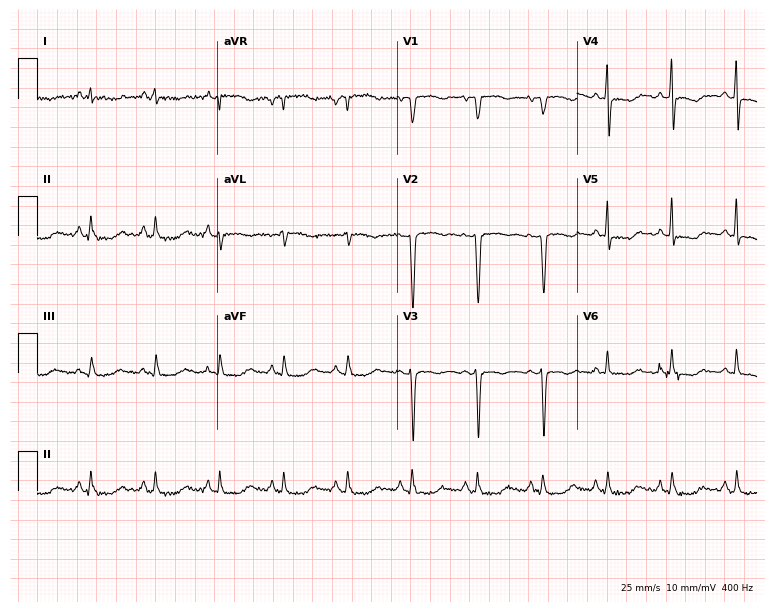
ECG (7.3-second recording at 400 Hz) — a woman, 45 years old. Screened for six findings — first-degree AV block, right bundle branch block, left bundle branch block, sinus bradycardia, atrial fibrillation, sinus tachycardia — none is recorded. Only these six findings were labelled.